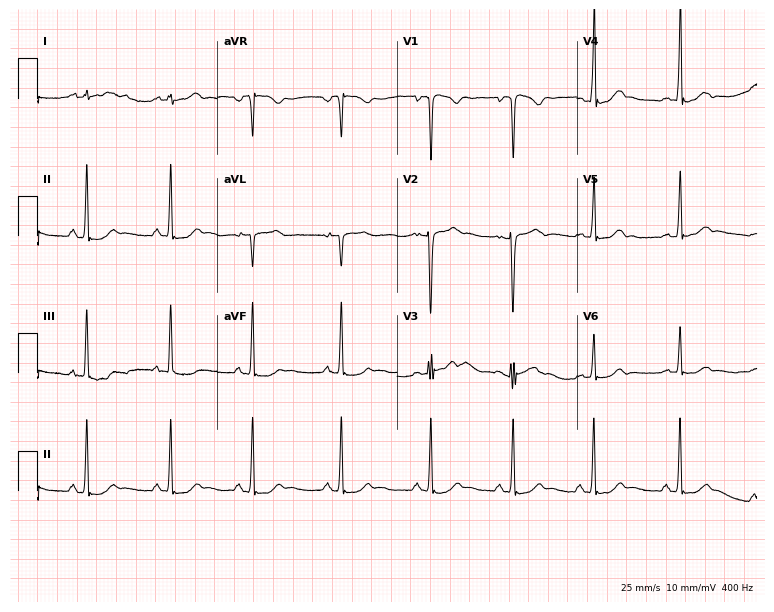
12-lead ECG from a 19-year-old male. Screened for six findings — first-degree AV block, right bundle branch block, left bundle branch block, sinus bradycardia, atrial fibrillation, sinus tachycardia — none is recorded. Findings outside these six are not listed.